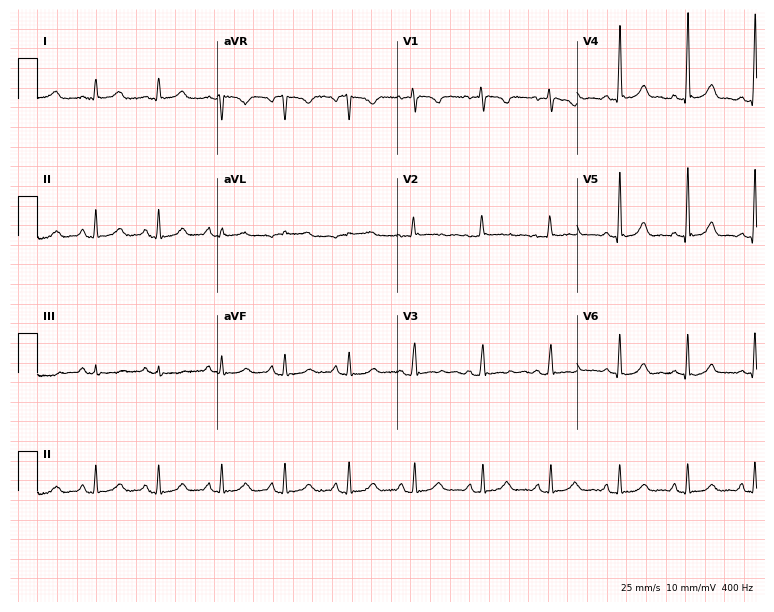
Resting 12-lead electrocardiogram. Patient: a woman, 39 years old. Read as a normal ECG.